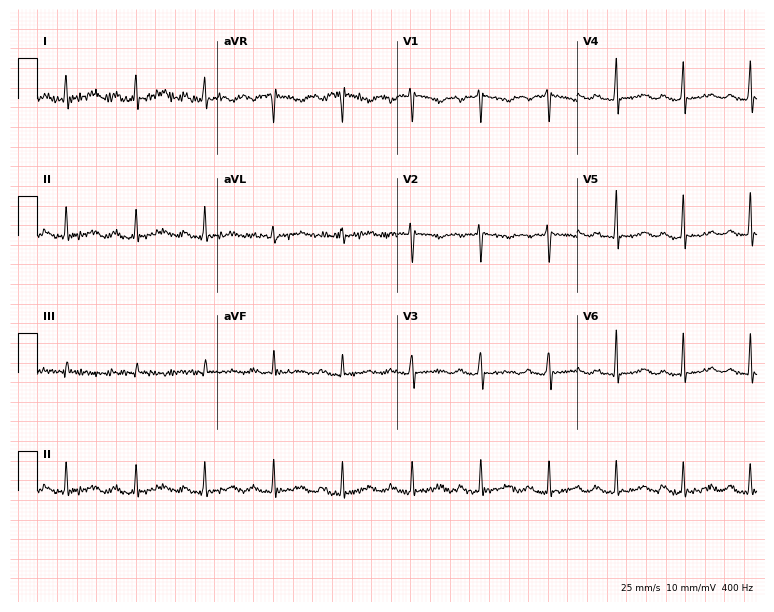
Resting 12-lead electrocardiogram (7.3-second recording at 400 Hz). Patient: a 50-year-old female. None of these six findings is recorded: first-degree AV block, right bundle branch block, left bundle branch block, sinus bradycardia, atrial fibrillation, sinus tachycardia.